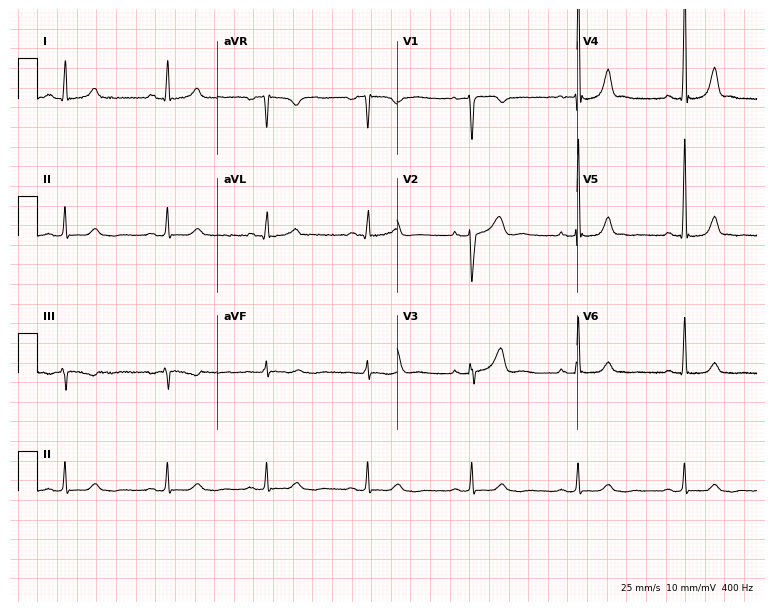
ECG (7.3-second recording at 400 Hz) — a female, 37 years old. Labelled as a normal ECG.